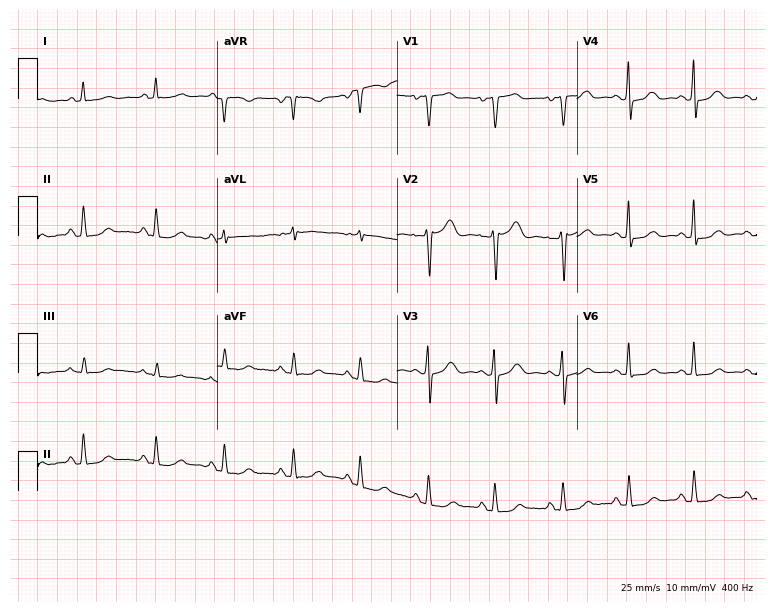
12-lead ECG from a female patient, 61 years old. No first-degree AV block, right bundle branch block, left bundle branch block, sinus bradycardia, atrial fibrillation or sinus tachycardia recorded for this tracing.